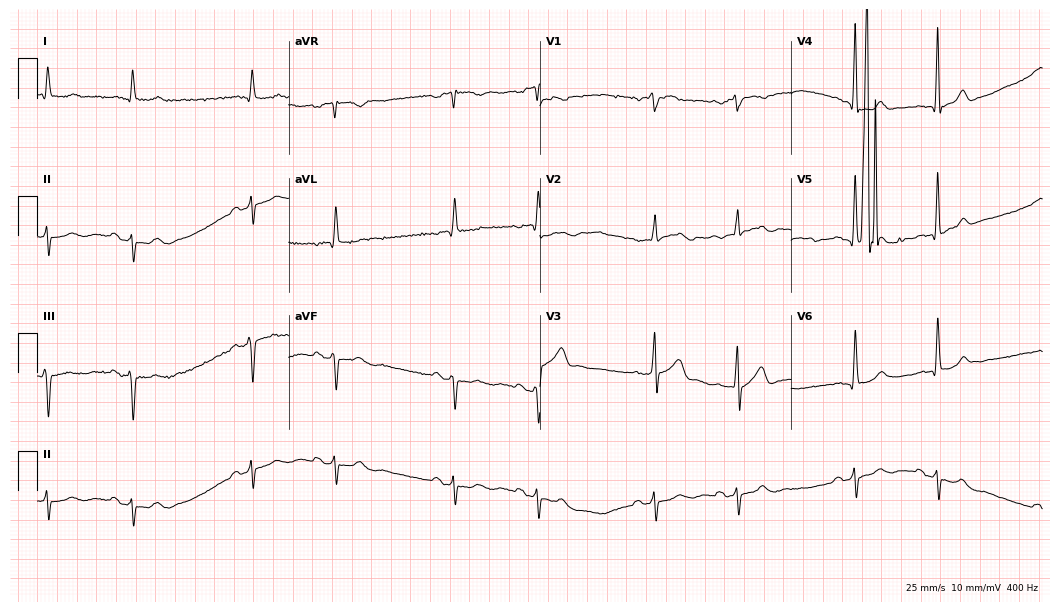
12-lead ECG from a male, 74 years old (10.2-second recording at 400 Hz). No first-degree AV block, right bundle branch block (RBBB), left bundle branch block (LBBB), sinus bradycardia, atrial fibrillation (AF) or sinus tachycardia recorded for this tracing. Findings outside these six are not listed.